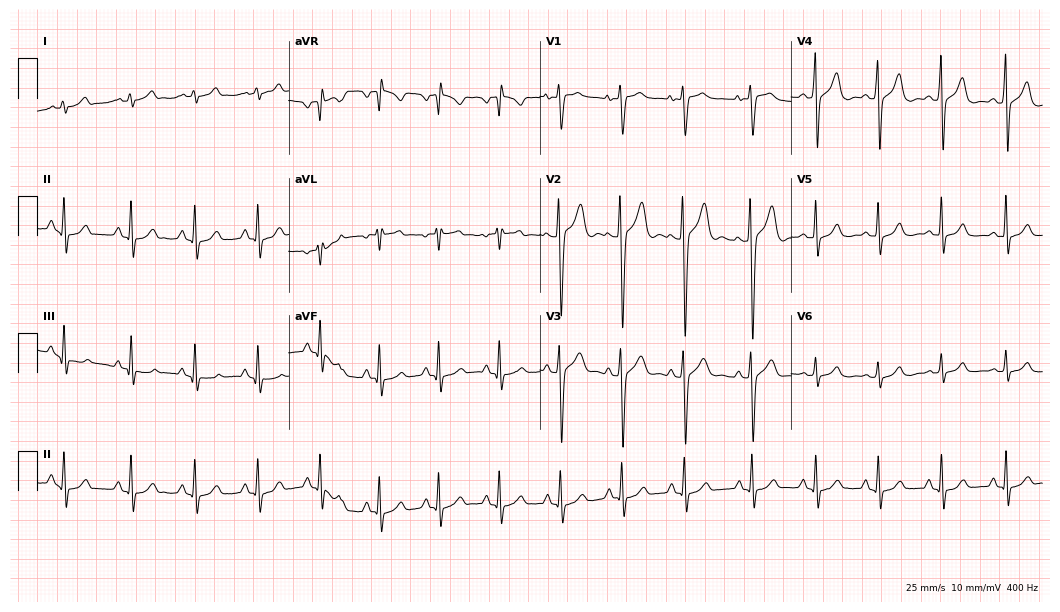
12-lead ECG from a man, 18 years old (10.2-second recording at 400 Hz). Recorded interpretation: within normal limits.